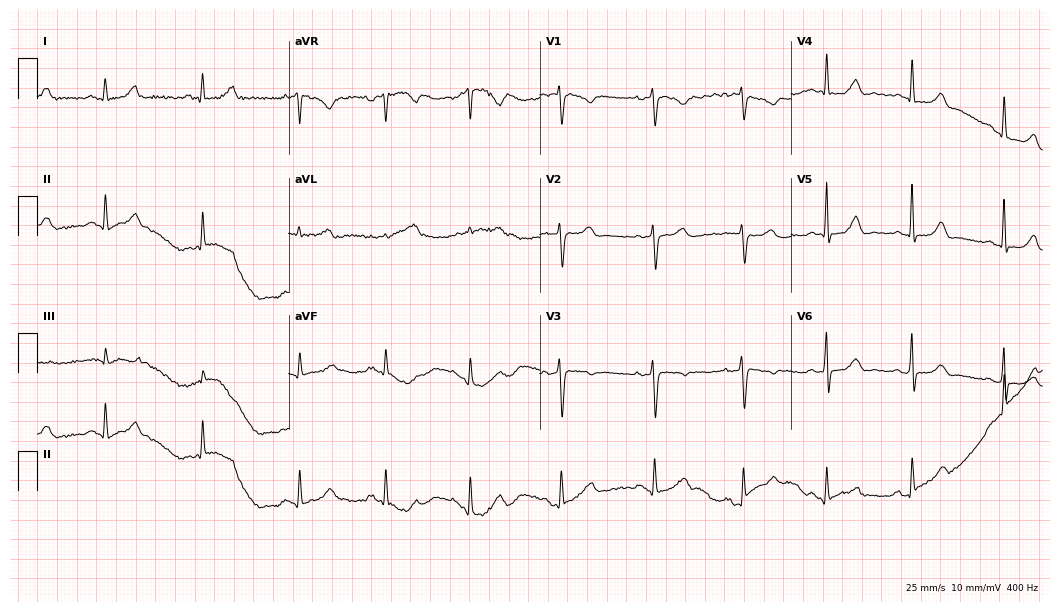
12-lead ECG from a 26-year-old woman. Labelled as a normal ECG.